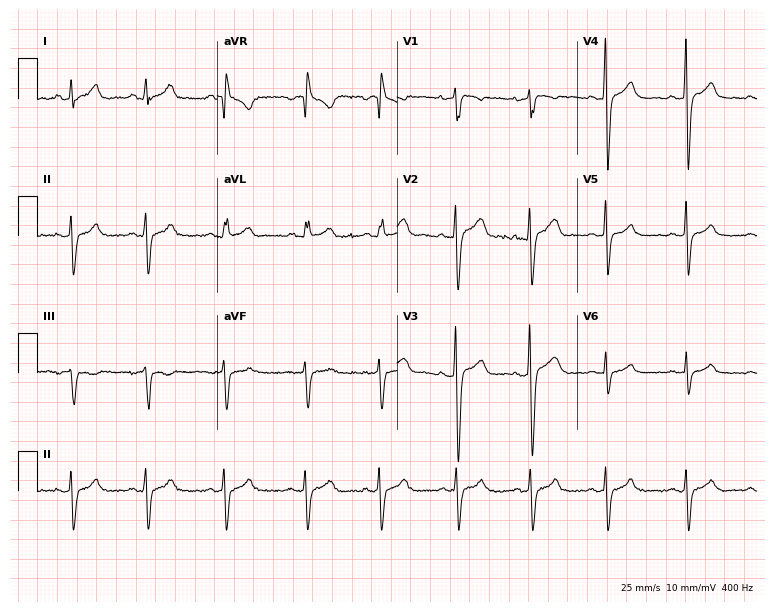
Standard 12-lead ECG recorded from a male, 24 years old. None of these six findings is recorded: first-degree AV block, right bundle branch block, left bundle branch block, sinus bradycardia, atrial fibrillation, sinus tachycardia.